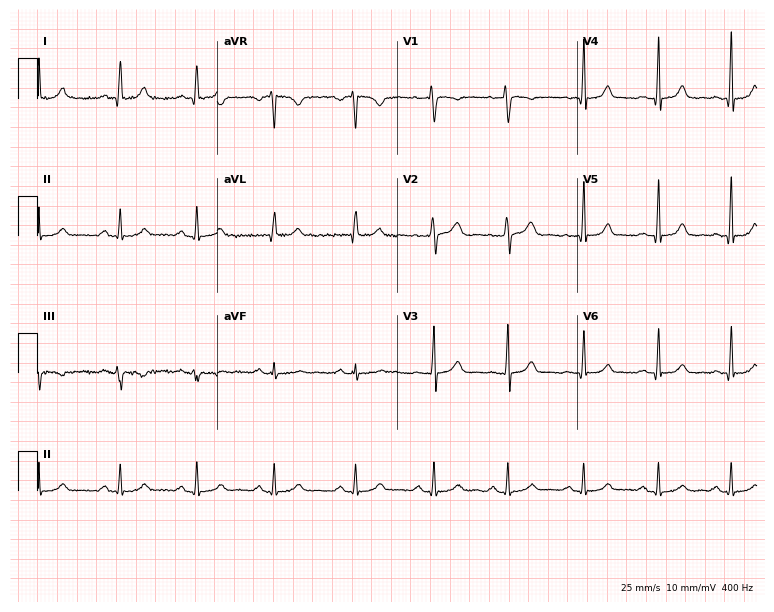
Resting 12-lead electrocardiogram. Patient: a female, 37 years old. Read as a normal ECG.